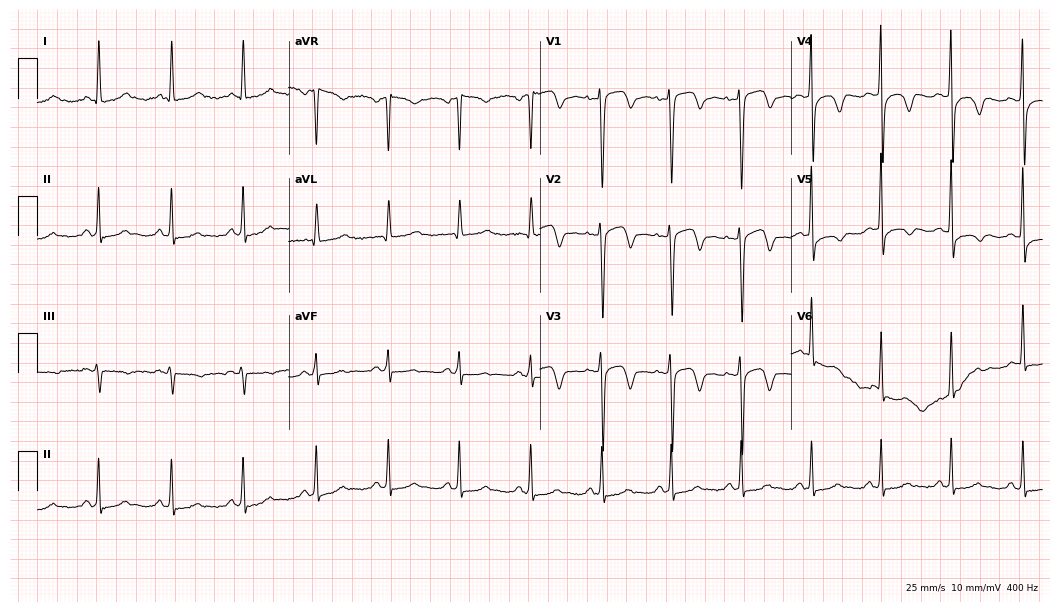
ECG — a female, 37 years old. Screened for six findings — first-degree AV block, right bundle branch block, left bundle branch block, sinus bradycardia, atrial fibrillation, sinus tachycardia — none is recorded.